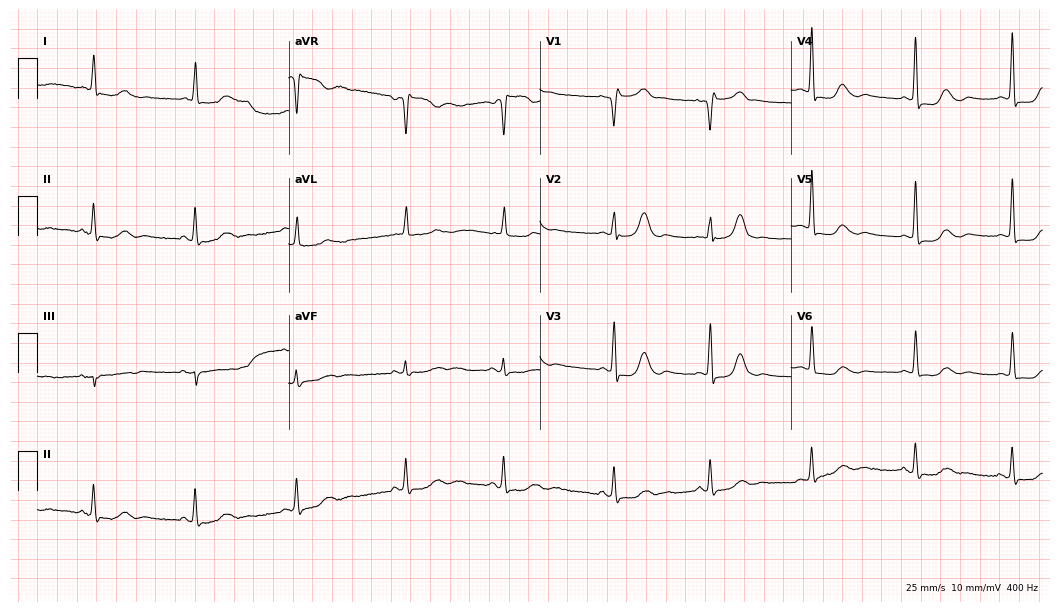
Resting 12-lead electrocardiogram (10.2-second recording at 400 Hz). Patient: an 85-year-old woman. None of these six findings is recorded: first-degree AV block, right bundle branch block, left bundle branch block, sinus bradycardia, atrial fibrillation, sinus tachycardia. Only these six findings were labelled.